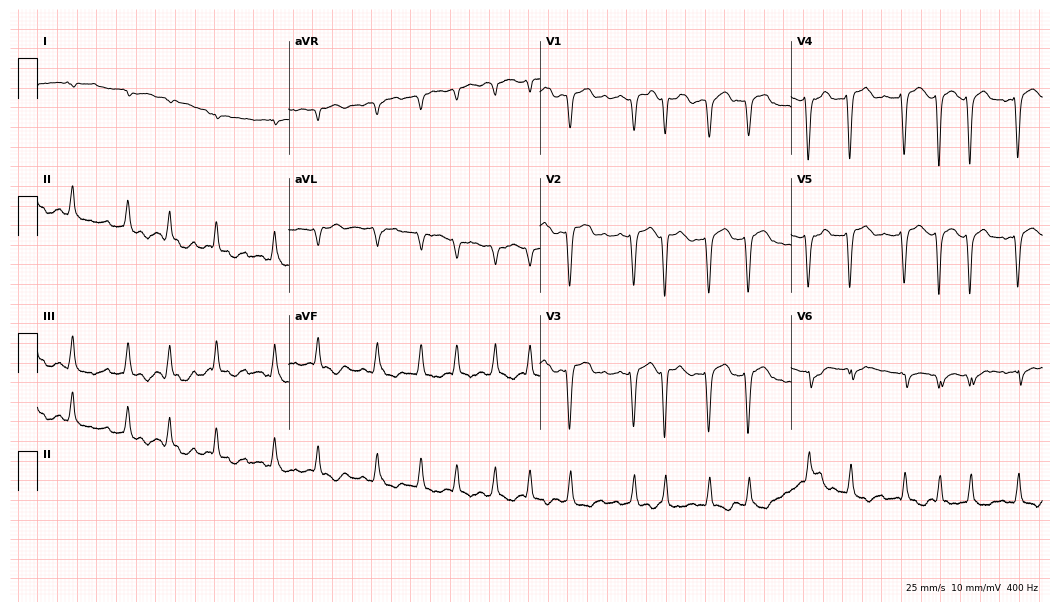
Standard 12-lead ECG recorded from a 67-year-old male patient (10.2-second recording at 400 Hz). None of these six findings is recorded: first-degree AV block, right bundle branch block, left bundle branch block, sinus bradycardia, atrial fibrillation, sinus tachycardia.